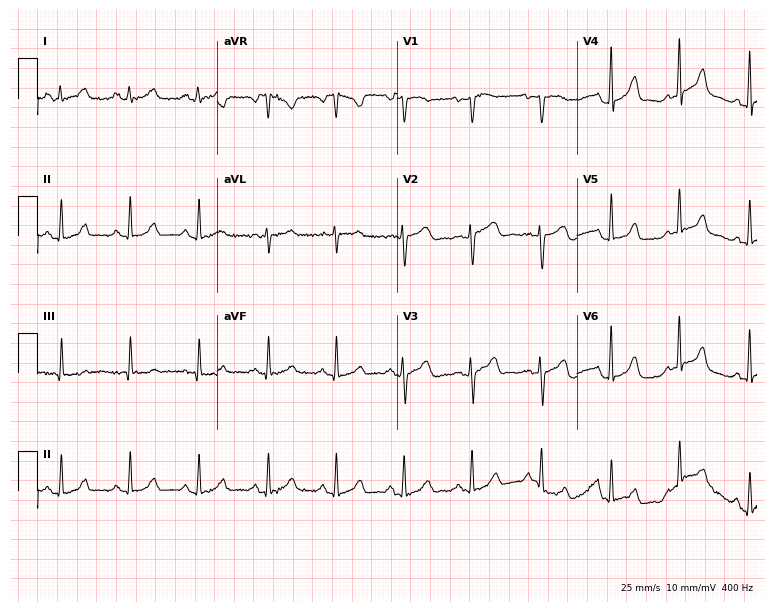
12-lead ECG from a 34-year-old female (7.3-second recording at 400 Hz). Recorded interpretation: within normal limits.